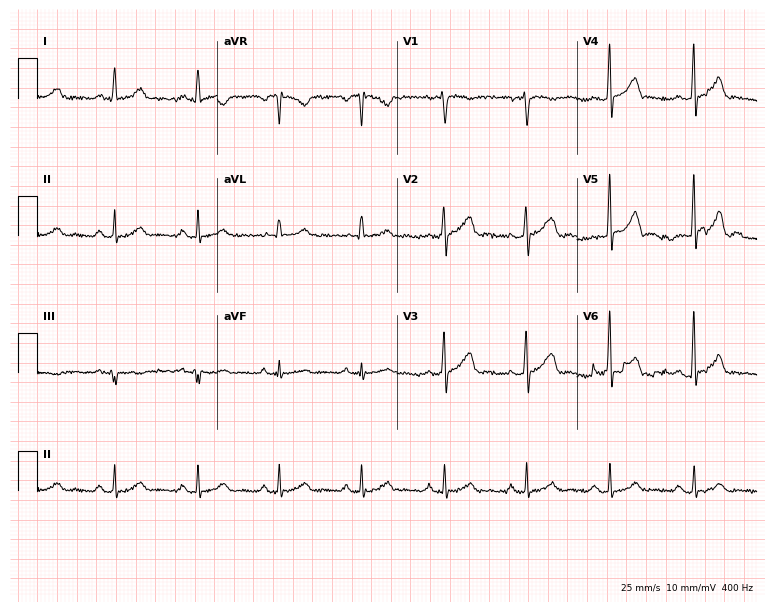
Resting 12-lead electrocardiogram (7.3-second recording at 400 Hz). Patient: a female, 41 years old. None of these six findings is recorded: first-degree AV block, right bundle branch block, left bundle branch block, sinus bradycardia, atrial fibrillation, sinus tachycardia.